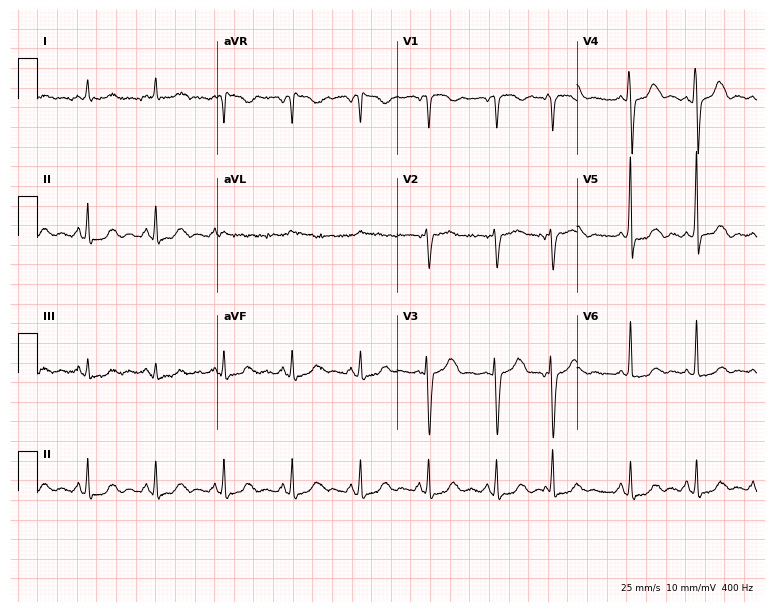
12-lead ECG (7.3-second recording at 400 Hz) from a 66-year-old woman. Screened for six findings — first-degree AV block, right bundle branch block, left bundle branch block, sinus bradycardia, atrial fibrillation, sinus tachycardia — none is recorded.